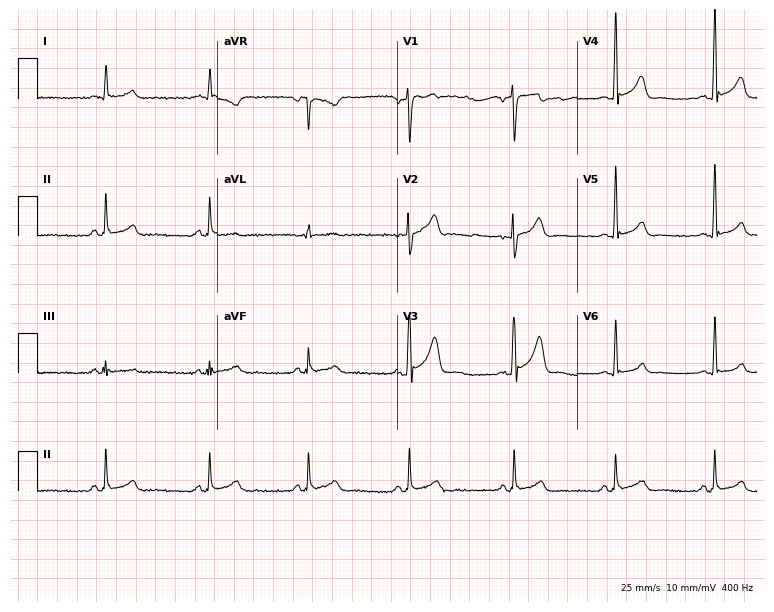
Standard 12-lead ECG recorded from a male, 33 years old. None of these six findings is recorded: first-degree AV block, right bundle branch block, left bundle branch block, sinus bradycardia, atrial fibrillation, sinus tachycardia.